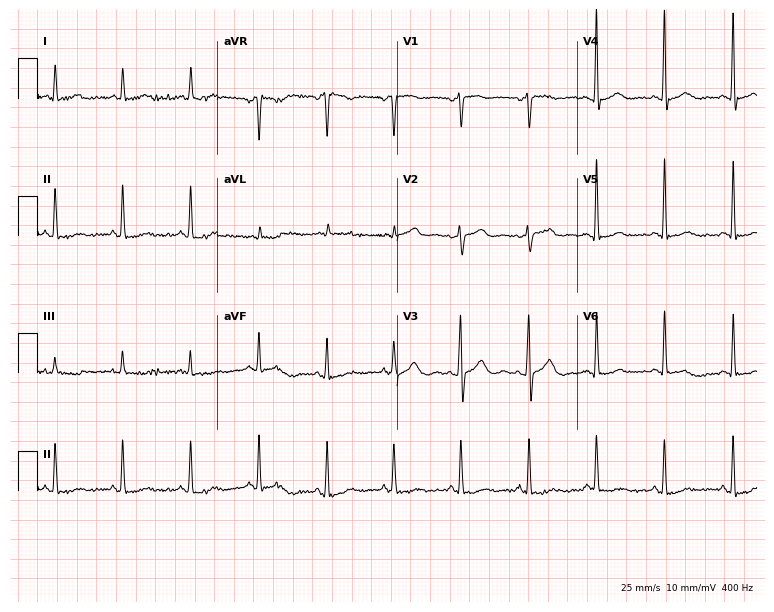
Standard 12-lead ECG recorded from a female patient, 62 years old. None of these six findings is recorded: first-degree AV block, right bundle branch block, left bundle branch block, sinus bradycardia, atrial fibrillation, sinus tachycardia.